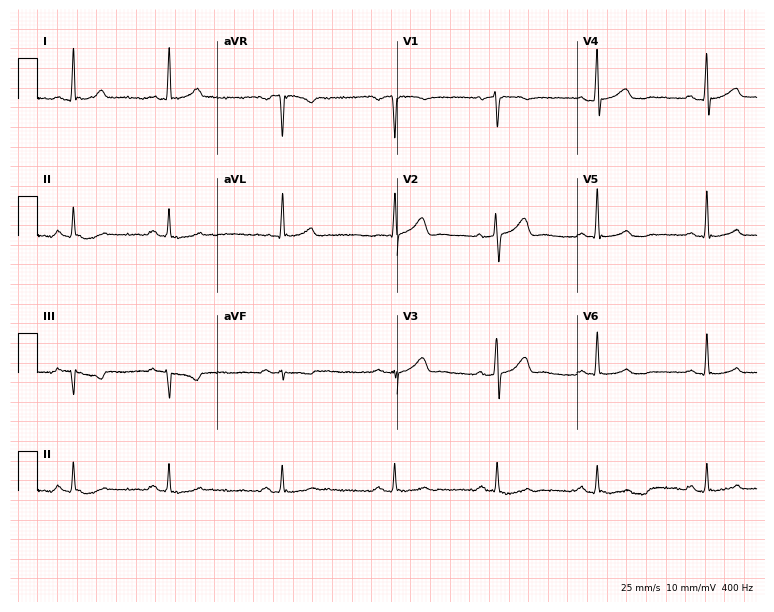
12-lead ECG from a male, 49 years old. No first-degree AV block, right bundle branch block, left bundle branch block, sinus bradycardia, atrial fibrillation or sinus tachycardia recorded for this tracing. Findings outside these six are not listed.